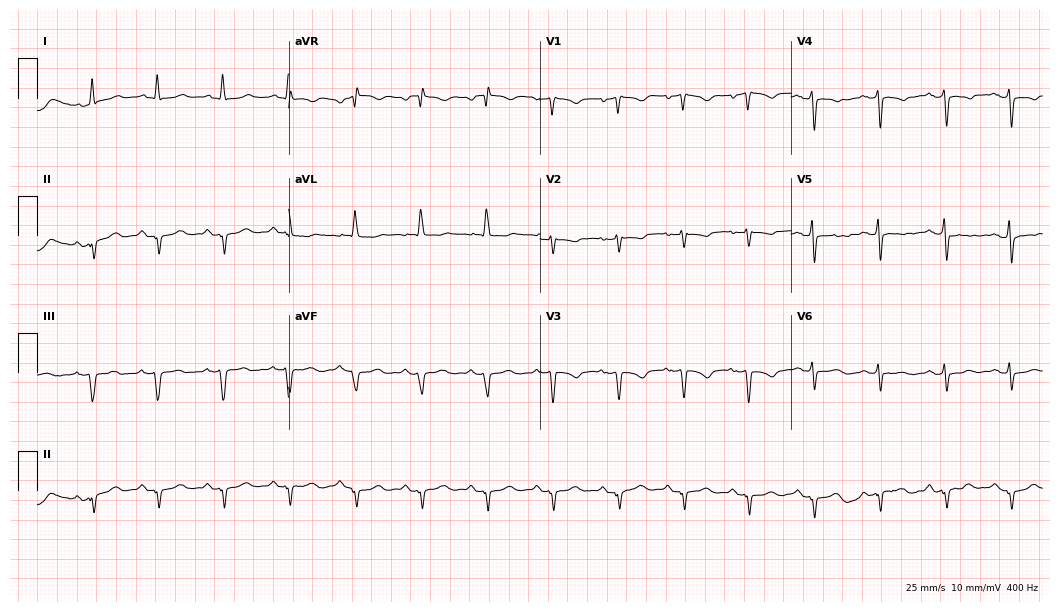
Electrocardiogram (10.2-second recording at 400 Hz), a 57-year-old female. Of the six screened findings (first-degree AV block, right bundle branch block (RBBB), left bundle branch block (LBBB), sinus bradycardia, atrial fibrillation (AF), sinus tachycardia), none is recorded. Other findings, if any, are not listed.